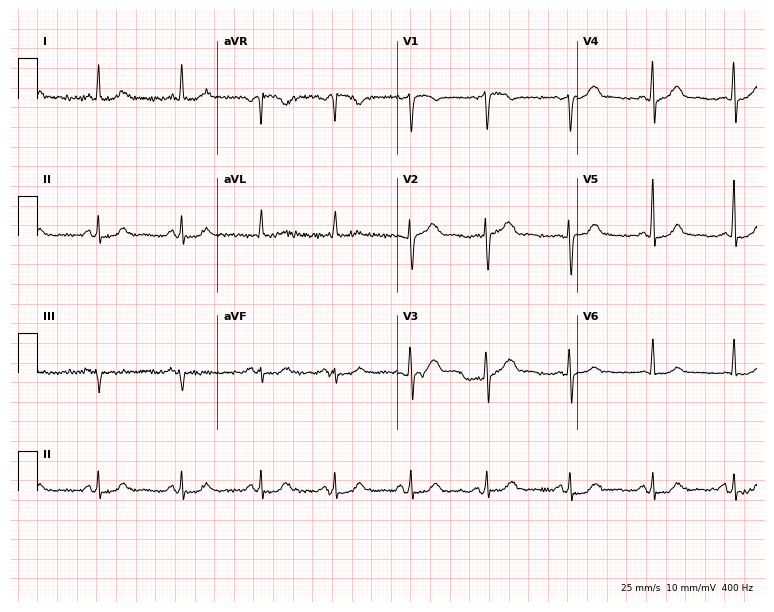
Resting 12-lead electrocardiogram. Patient: a female, 63 years old. None of these six findings is recorded: first-degree AV block, right bundle branch block, left bundle branch block, sinus bradycardia, atrial fibrillation, sinus tachycardia.